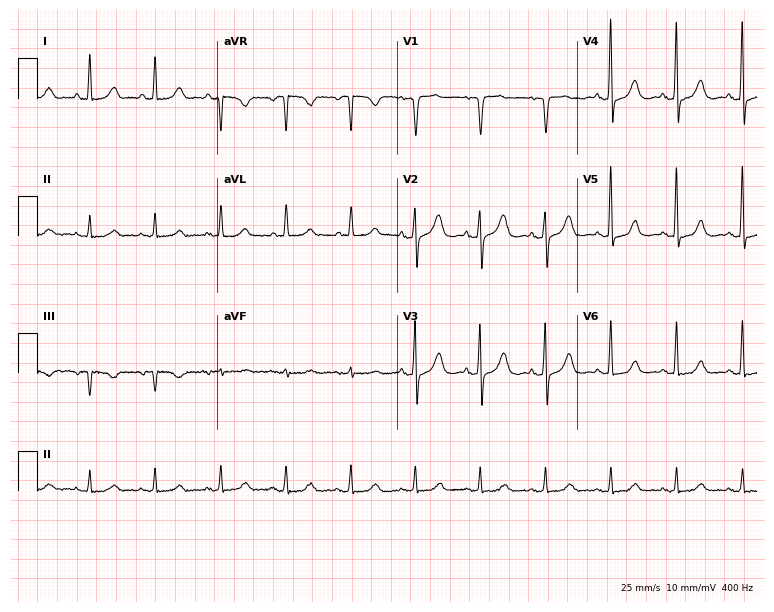
Electrocardiogram, a female, 65 years old. Of the six screened findings (first-degree AV block, right bundle branch block, left bundle branch block, sinus bradycardia, atrial fibrillation, sinus tachycardia), none is recorded. Only these six findings were labelled.